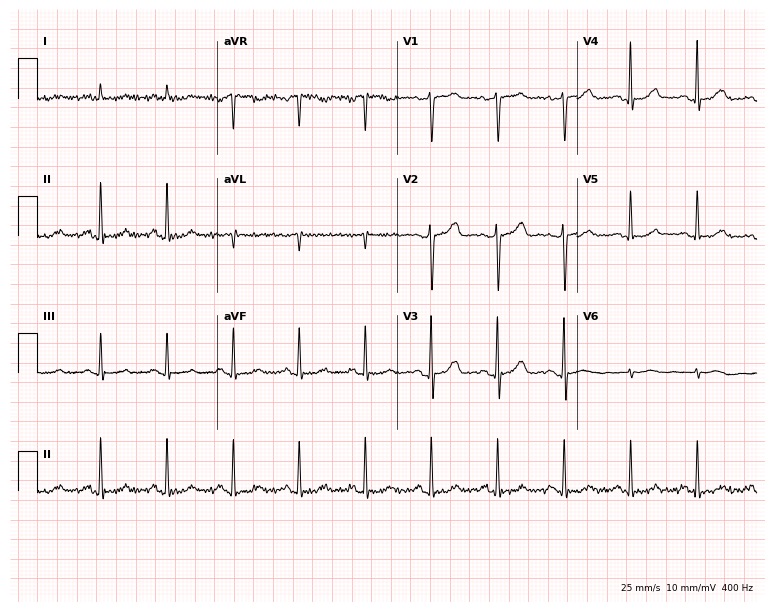
Electrocardiogram (7.3-second recording at 400 Hz), a man, 50 years old. Overall reading on record: normal ECG.